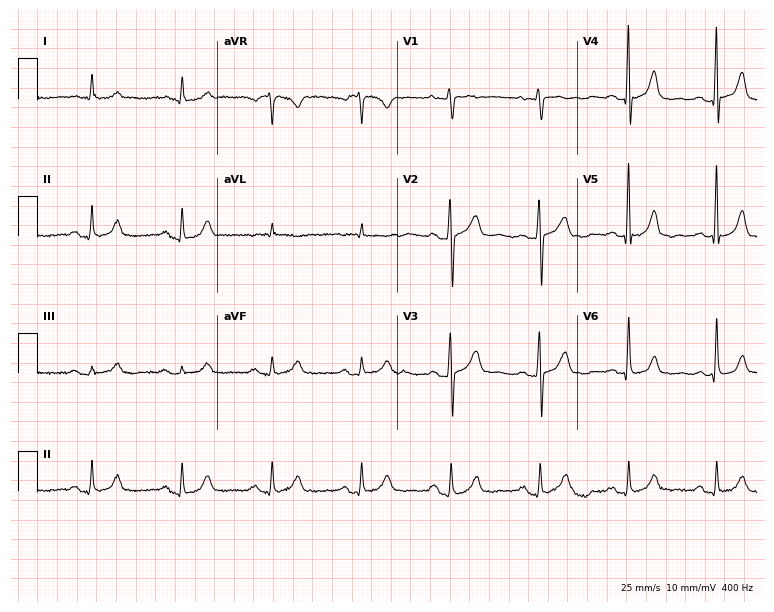
12-lead ECG from a man, 80 years old. No first-degree AV block, right bundle branch block (RBBB), left bundle branch block (LBBB), sinus bradycardia, atrial fibrillation (AF) or sinus tachycardia recorded for this tracing.